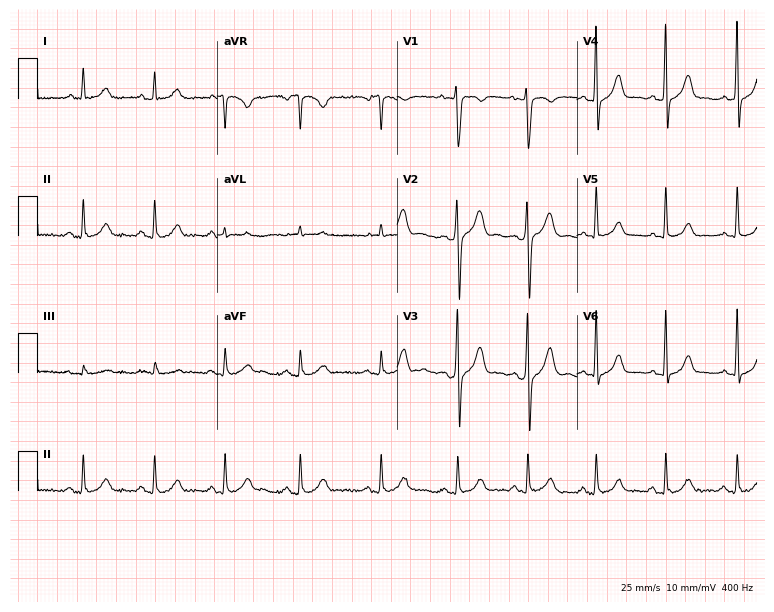
12-lead ECG from a 26-year-old man. Labelled as a normal ECG.